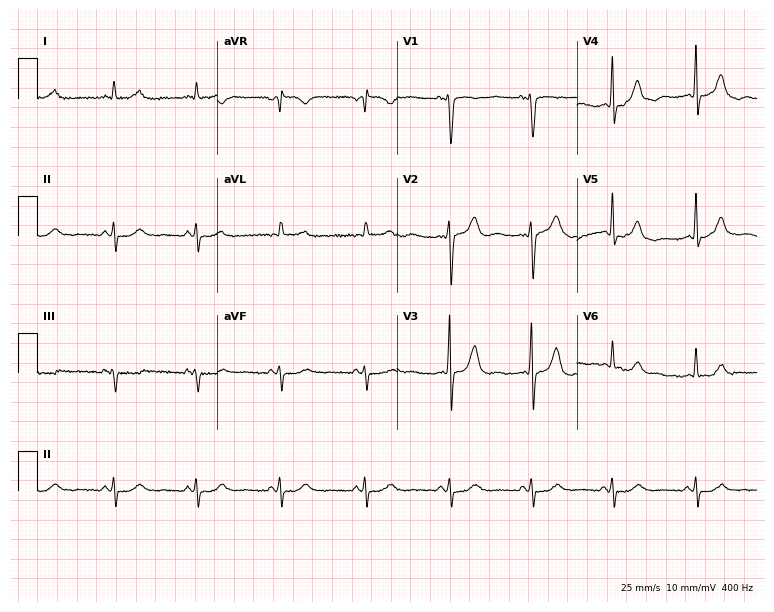
Electrocardiogram, a man, 53 years old. Of the six screened findings (first-degree AV block, right bundle branch block, left bundle branch block, sinus bradycardia, atrial fibrillation, sinus tachycardia), none is recorded.